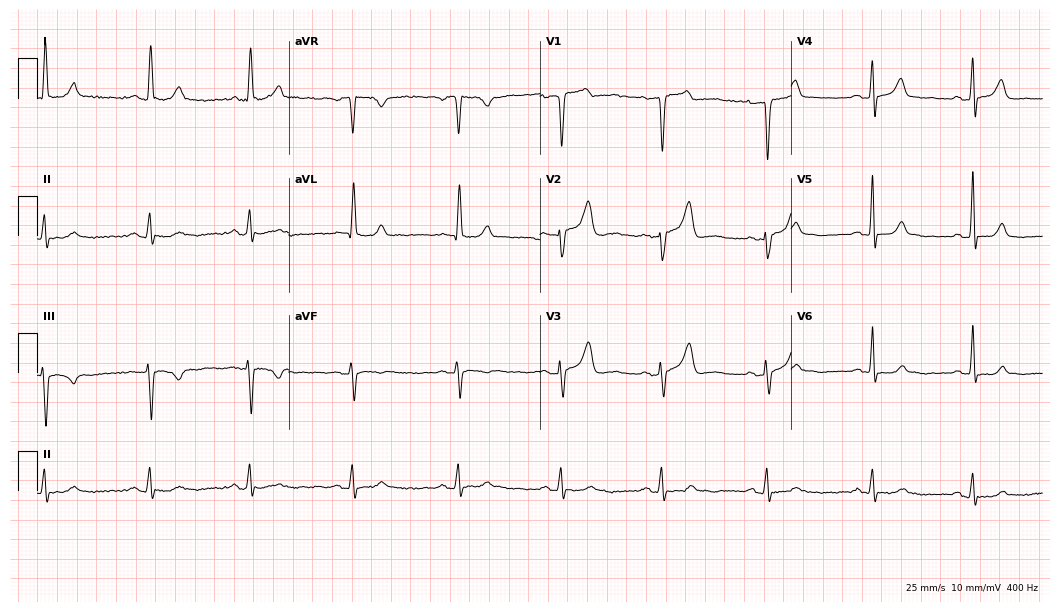
Standard 12-lead ECG recorded from a female patient, 62 years old. Read as a normal ECG.